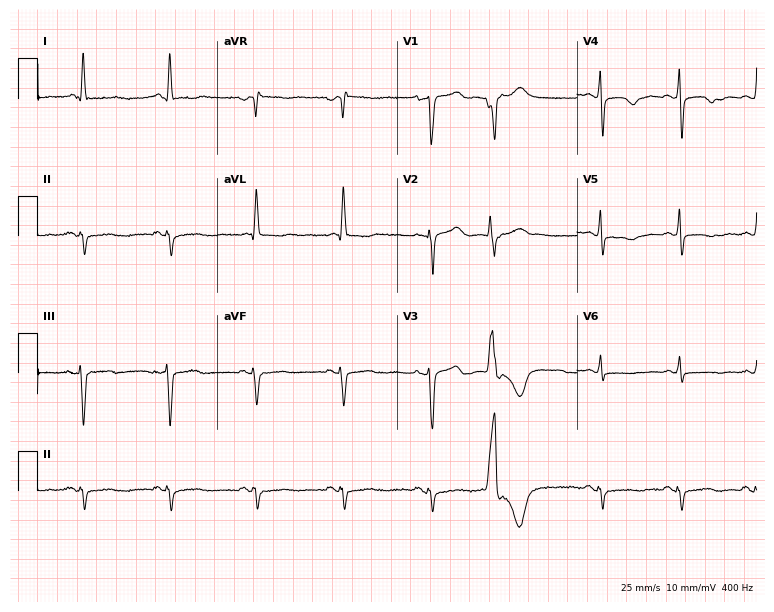
ECG — a female, 54 years old. Screened for six findings — first-degree AV block, right bundle branch block, left bundle branch block, sinus bradycardia, atrial fibrillation, sinus tachycardia — none is recorded.